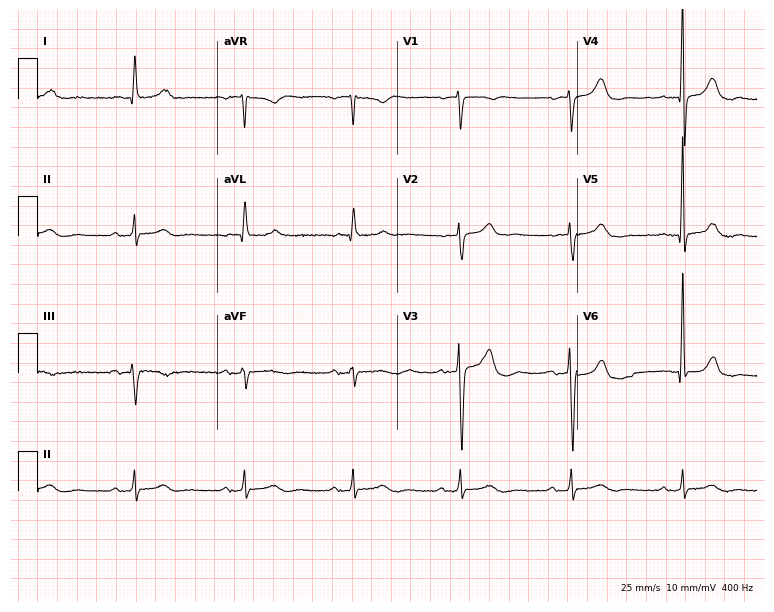
ECG — a 79-year-old male patient. Labelled as a normal ECG.